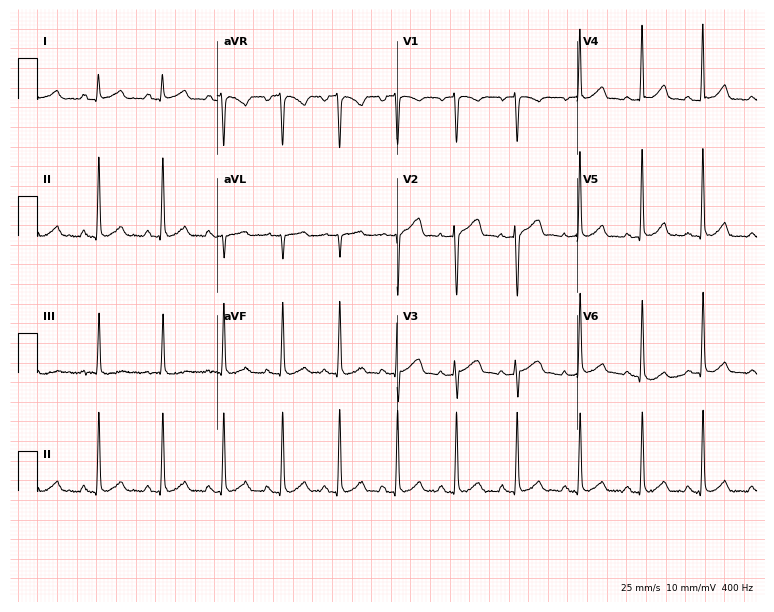
Resting 12-lead electrocardiogram. Patient: a 29-year-old woman. None of these six findings is recorded: first-degree AV block, right bundle branch block, left bundle branch block, sinus bradycardia, atrial fibrillation, sinus tachycardia. Only these six findings were labelled.